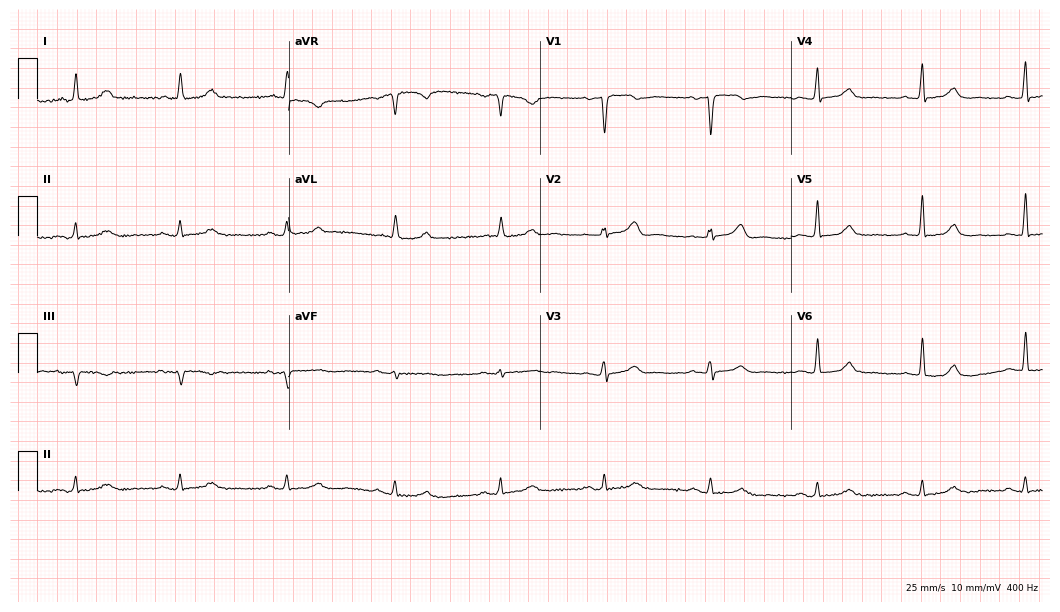
Electrocardiogram (10.2-second recording at 400 Hz), a 68-year-old woman. Of the six screened findings (first-degree AV block, right bundle branch block, left bundle branch block, sinus bradycardia, atrial fibrillation, sinus tachycardia), none is recorded.